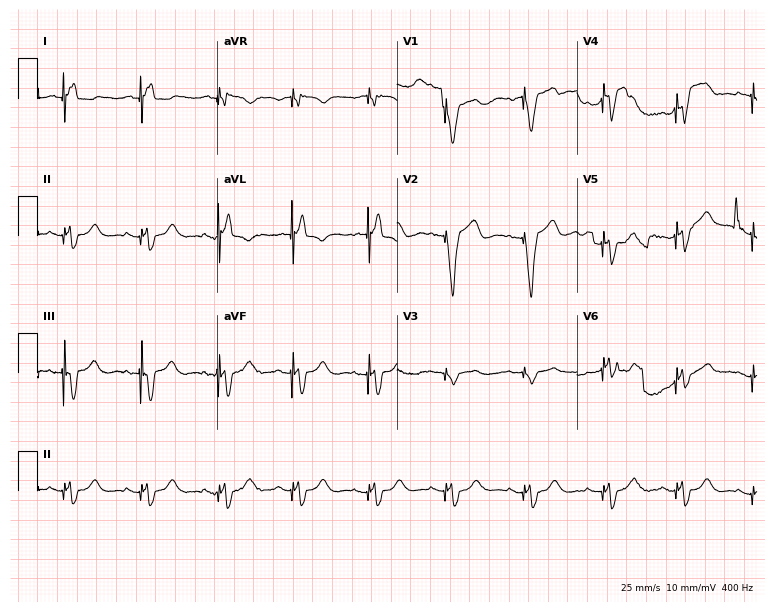
12-lead ECG from a female patient, 85 years old (7.3-second recording at 400 Hz). No first-degree AV block, right bundle branch block (RBBB), left bundle branch block (LBBB), sinus bradycardia, atrial fibrillation (AF) or sinus tachycardia recorded for this tracing.